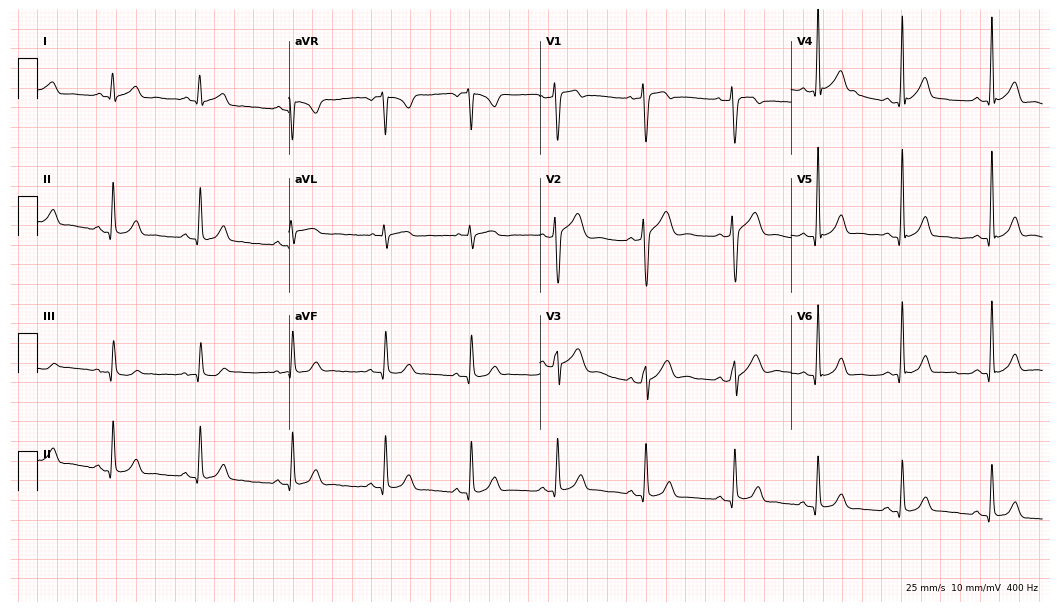
12-lead ECG from a 24-year-old male (10.2-second recording at 400 Hz). No first-degree AV block, right bundle branch block, left bundle branch block, sinus bradycardia, atrial fibrillation or sinus tachycardia recorded for this tracing.